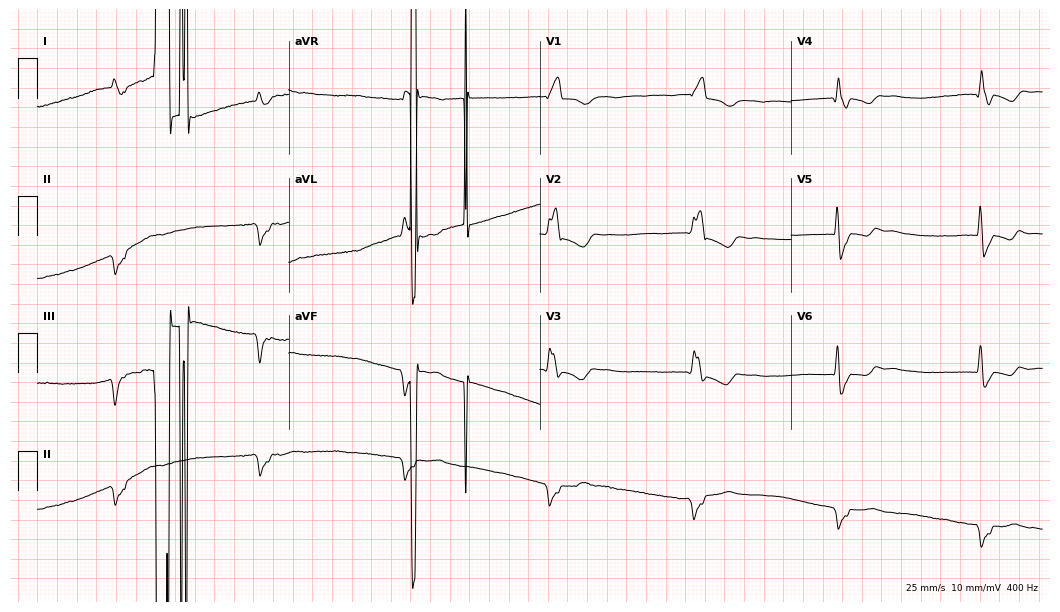
12-lead ECG (10.2-second recording at 400 Hz) from a man, 83 years old. Findings include atrial fibrillation.